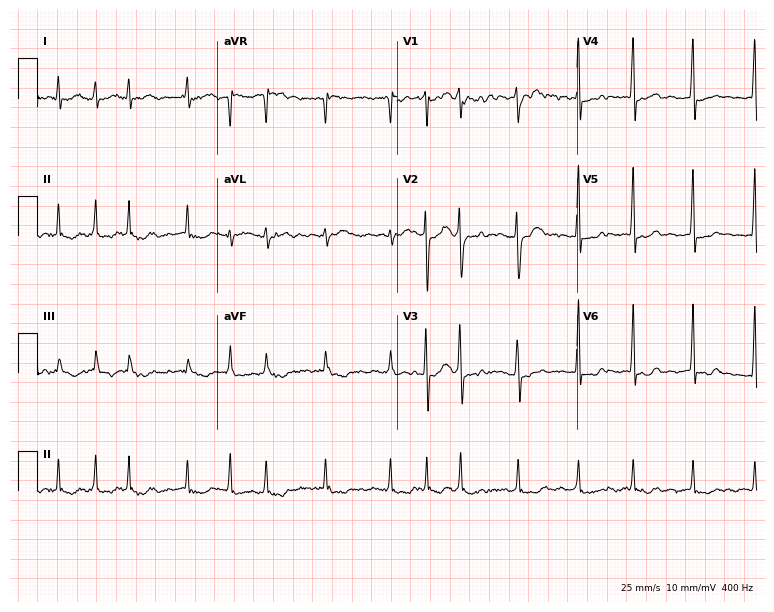
ECG — a female, 71 years old. Findings include atrial fibrillation.